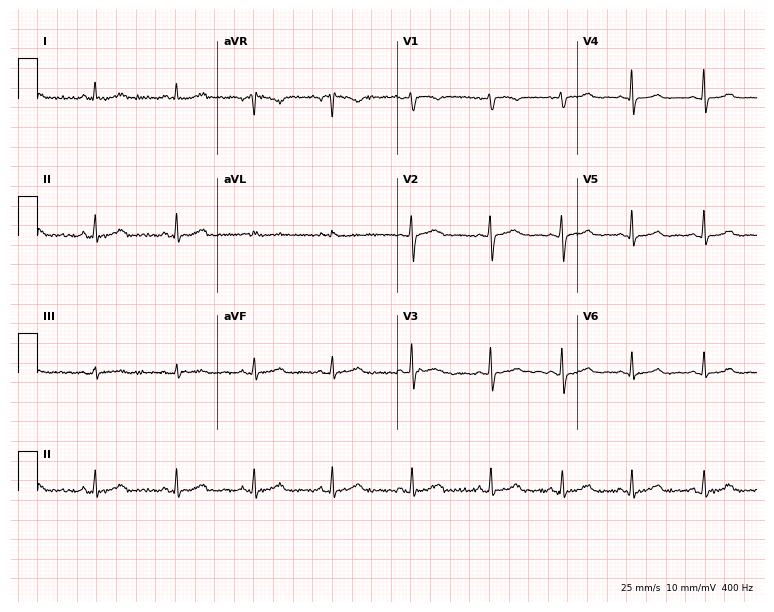
12-lead ECG from a female, 49 years old (7.3-second recording at 400 Hz). Recorded interpretation: within normal limits.